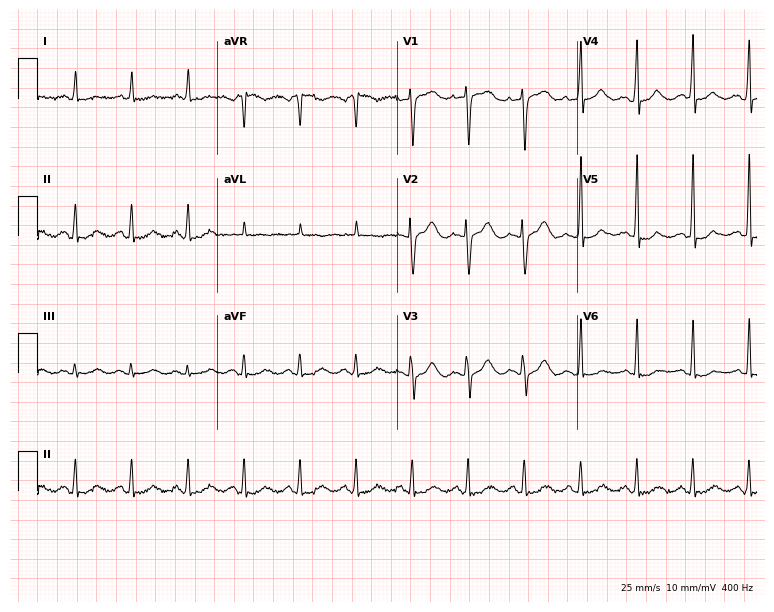
Resting 12-lead electrocardiogram. Patient: a female, 69 years old. The tracing shows sinus tachycardia (a sinus rate of 100 beats per minute or more).